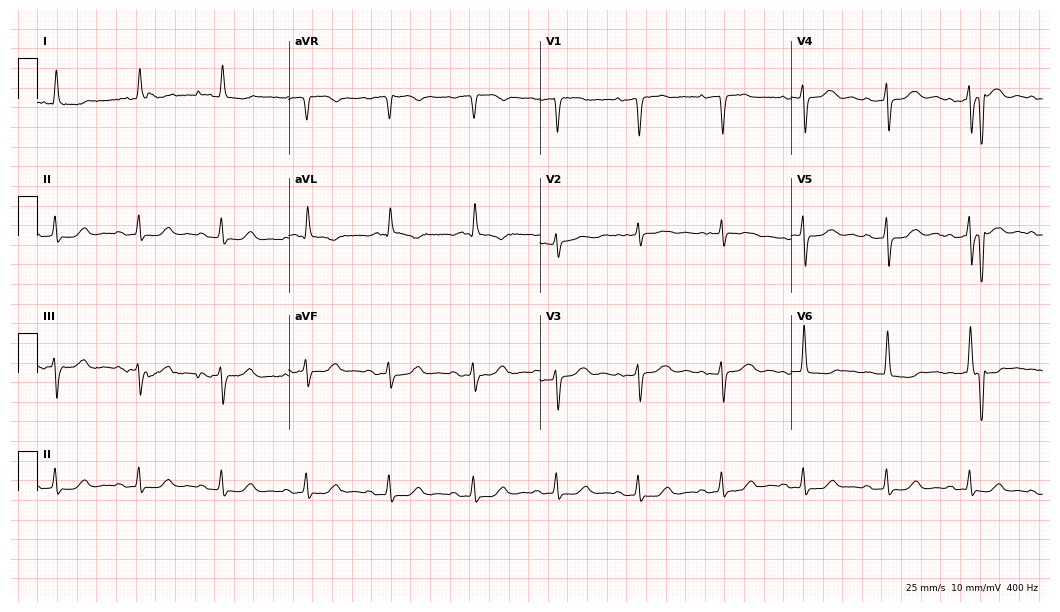
12-lead ECG (10.2-second recording at 400 Hz) from an 84-year-old female. Screened for six findings — first-degree AV block, right bundle branch block, left bundle branch block, sinus bradycardia, atrial fibrillation, sinus tachycardia — none is recorded.